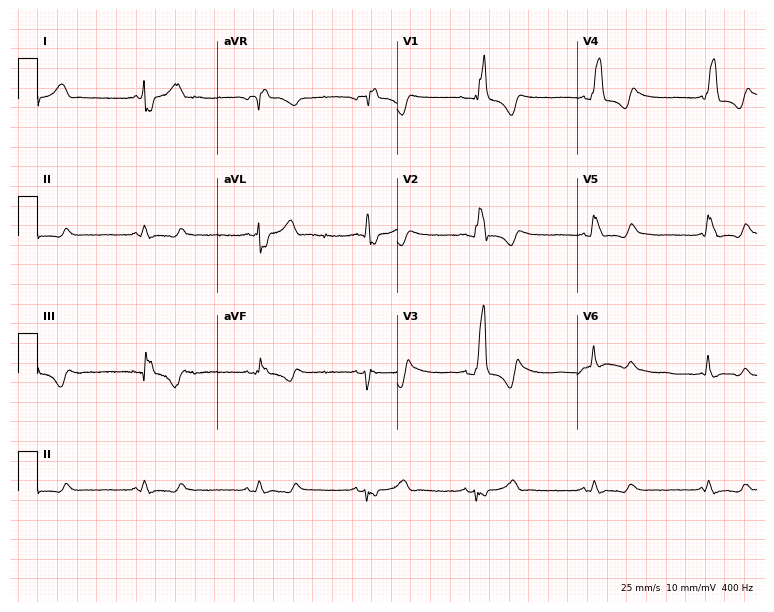
Resting 12-lead electrocardiogram. Patient: a woman, 32 years old. The tracing shows right bundle branch block.